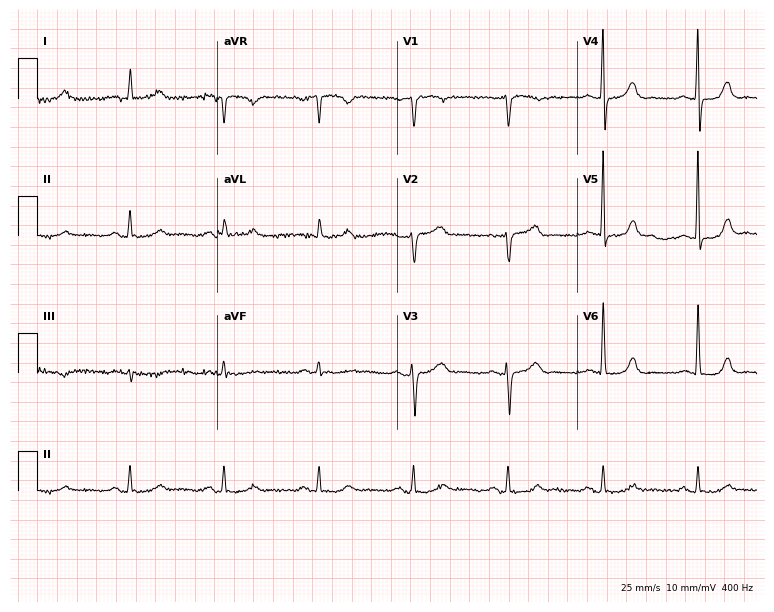
ECG (7.3-second recording at 400 Hz) — an 84-year-old male patient. Labelled as a normal ECG.